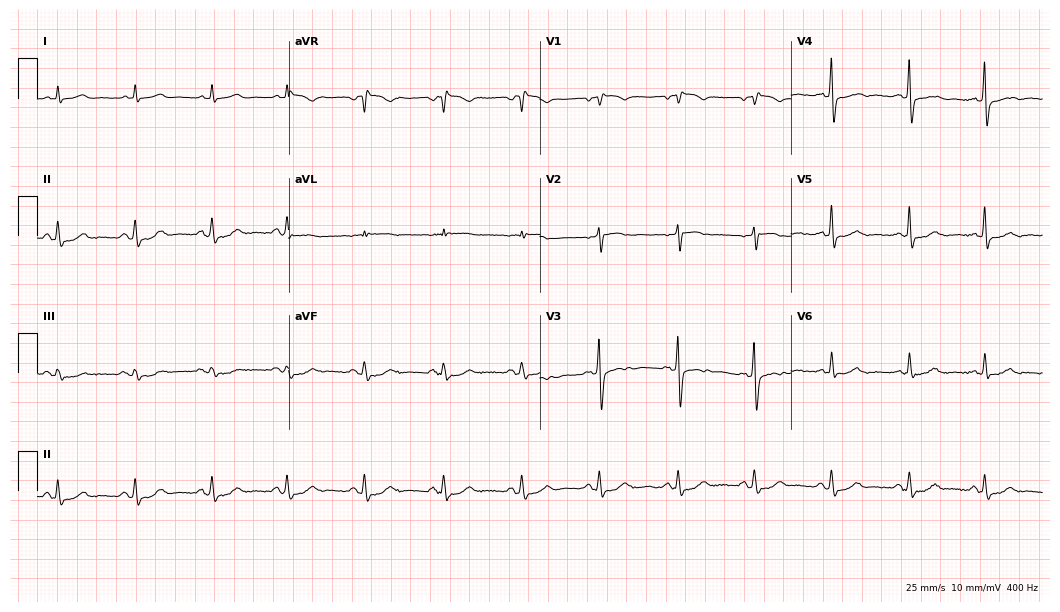
ECG (10.2-second recording at 400 Hz) — a male patient, 77 years old. Screened for six findings — first-degree AV block, right bundle branch block (RBBB), left bundle branch block (LBBB), sinus bradycardia, atrial fibrillation (AF), sinus tachycardia — none is recorded.